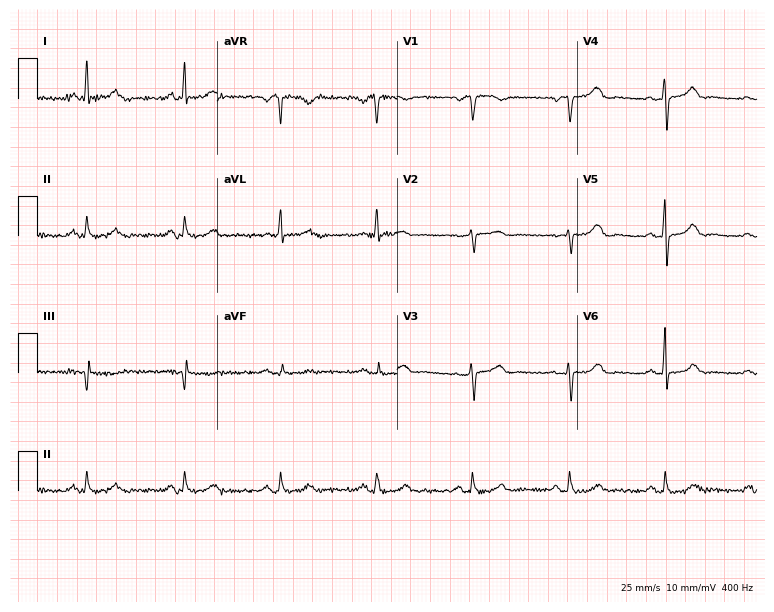
Electrocardiogram (7.3-second recording at 400 Hz), a female, 57 years old. Of the six screened findings (first-degree AV block, right bundle branch block (RBBB), left bundle branch block (LBBB), sinus bradycardia, atrial fibrillation (AF), sinus tachycardia), none is recorded.